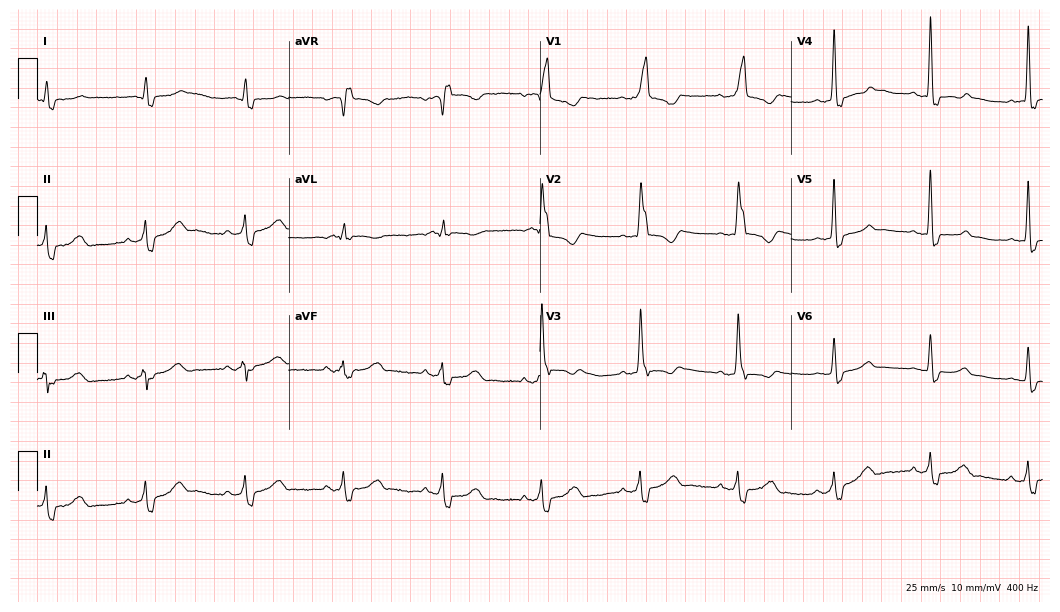
Resting 12-lead electrocardiogram. Patient: a woman, 72 years old. The tracing shows right bundle branch block.